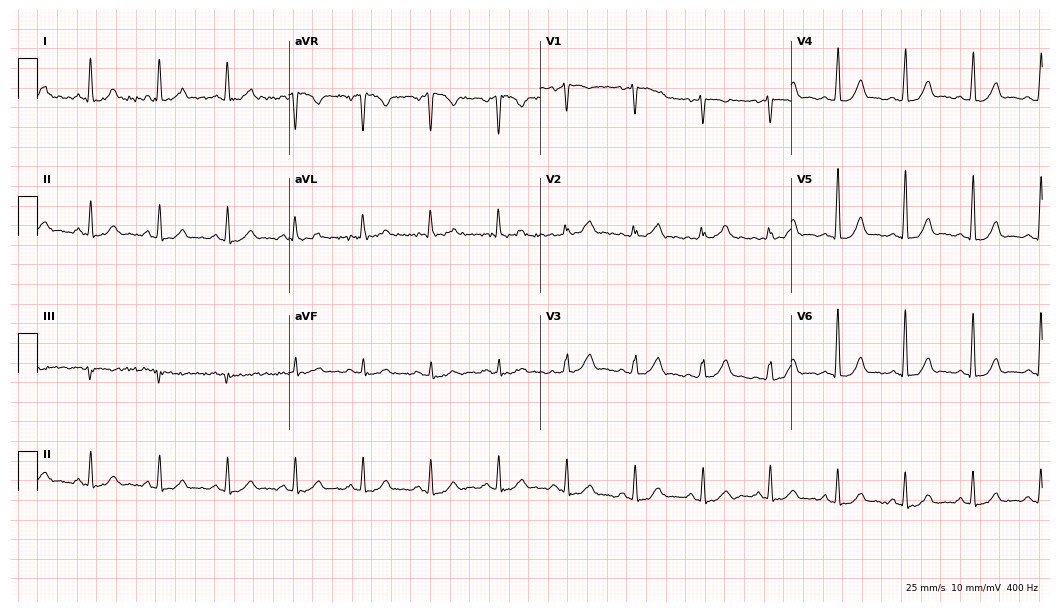
Electrocardiogram, a female patient, 54 years old. Overall reading on record: normal ECG.